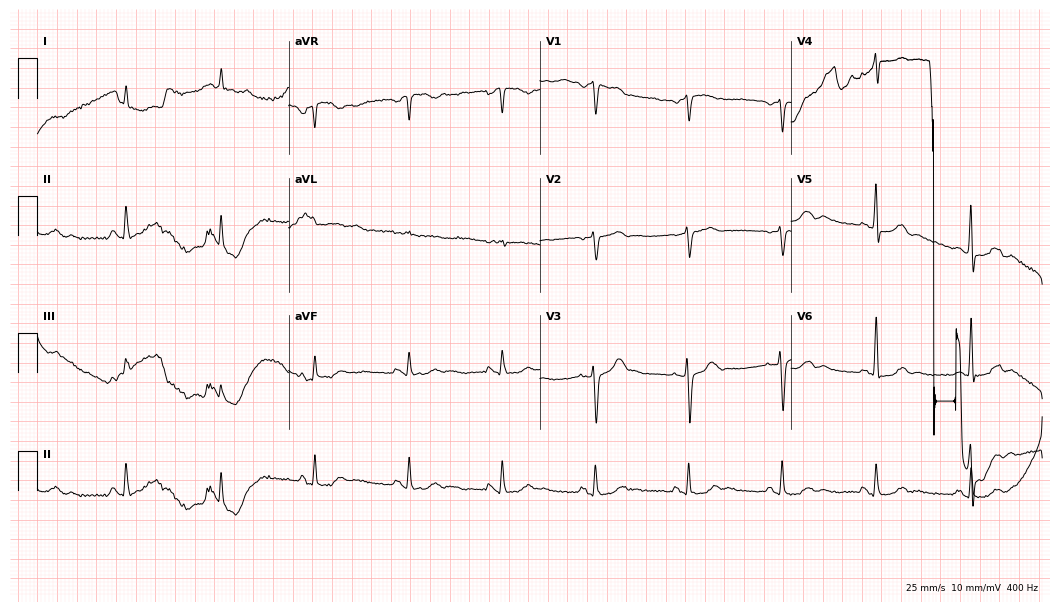
Resting 12-lead electrocardiogram (10.2-second recording at 400 Hz). Patient: a male, 77 years old. Read as a normal ECG.